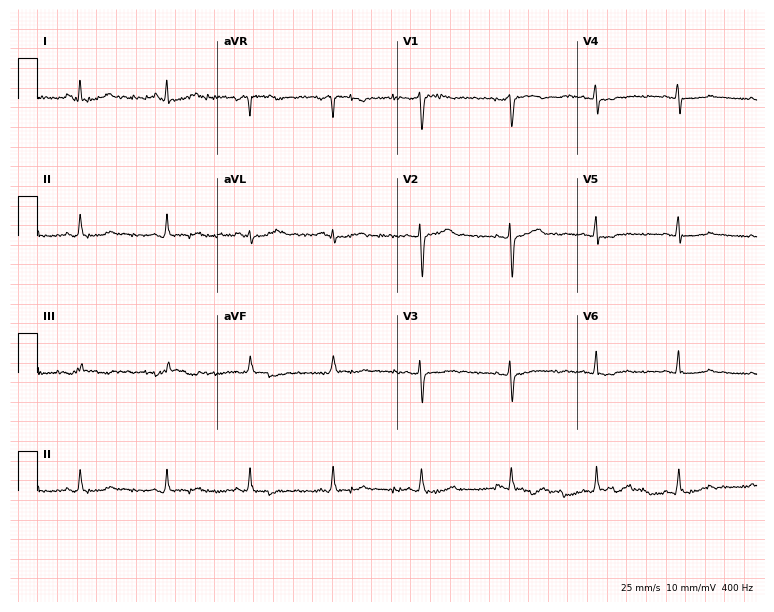
12-lead ECG from a female, 48 years old (7.3-second recording at 400 Hz). No first-degree AV block, right bundle branch block, left bundle branch block, sinus bradycardia, atrial fibrillation or sinus tachycardia recorded for this tracing. Findings outside these six are not listed.